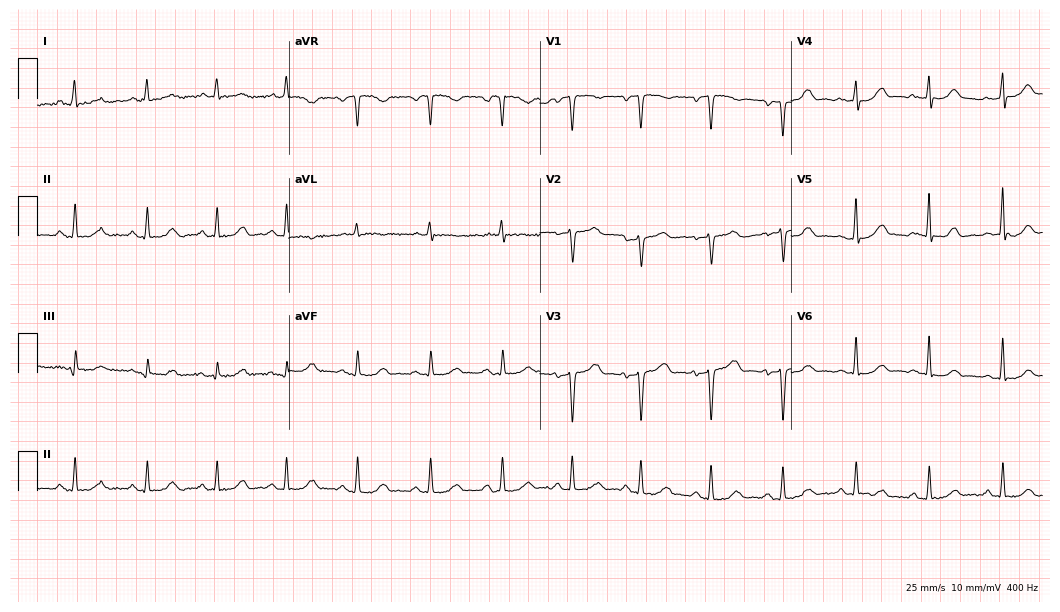
Resting 12-lead electrocardiogram (10.2-second recording at 400 Hz). Patient: a 49-year-old female. None of these six findings is recorded: first-degree AV block, right bundle branch block (RBBB), left bundle branch block (LBBB), sinus bradycardia, atrial fibrillation (AF), sinus tachycardia. Findings outside these six are not listed.